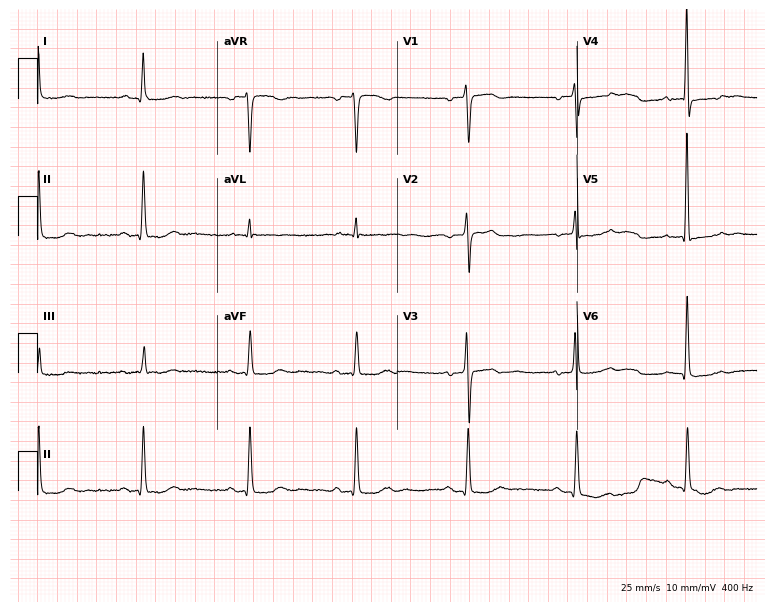
12-lead ECG from a female patient, 77 years old (7.3-second recording at 400 Hz). No first-degree AV block, right bundle branch block, left bundle branch block, sinus bradycardia, atrial fibrillation or sinus tachycardia recorded for this tracing.